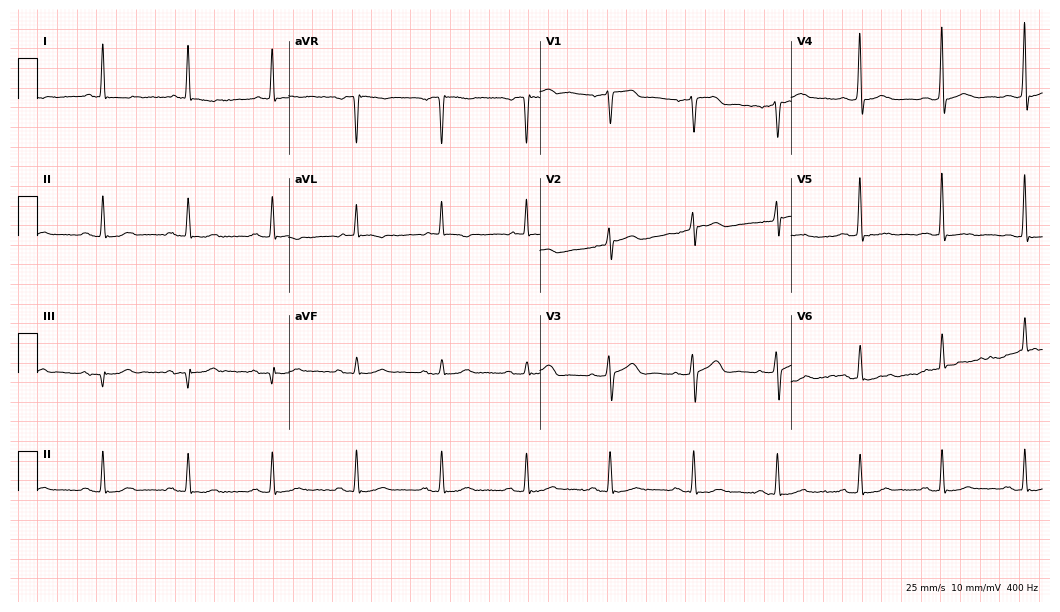
Electrocardiogram, a male patient, 65 years old. Of the six screened findings (first-degree AV block, right bundle branch block (RBBB), left bundle branch block (LBBB), sinus bradycardia, atrial fibrillation (AF), sinus tachycardia), none is recorded.